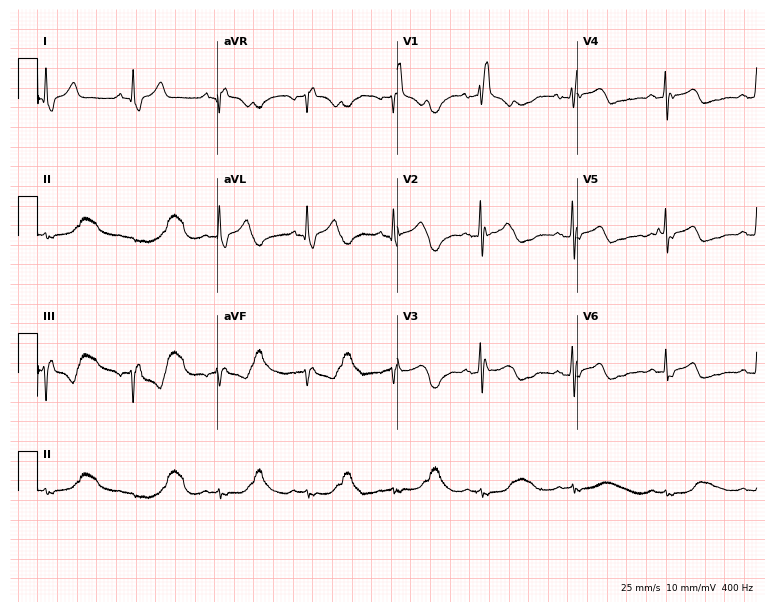
ECG (7.3-second recording at 400 Hz) — a male, 50 years old. Findings include right bundle branch block (RBBB).